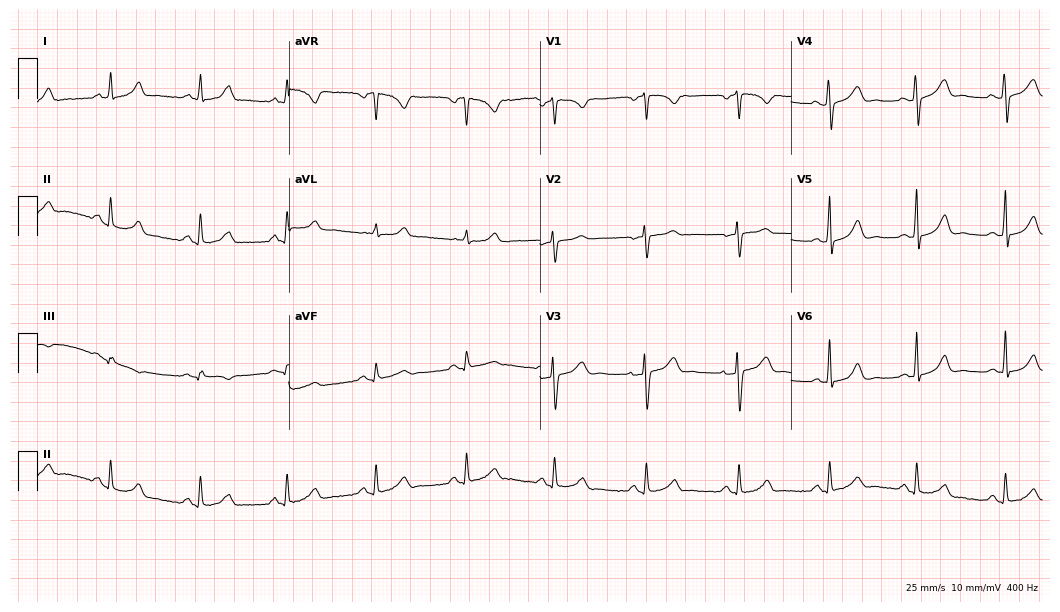
ECG — a female, 39 years old. Labelled as a normal ECG.